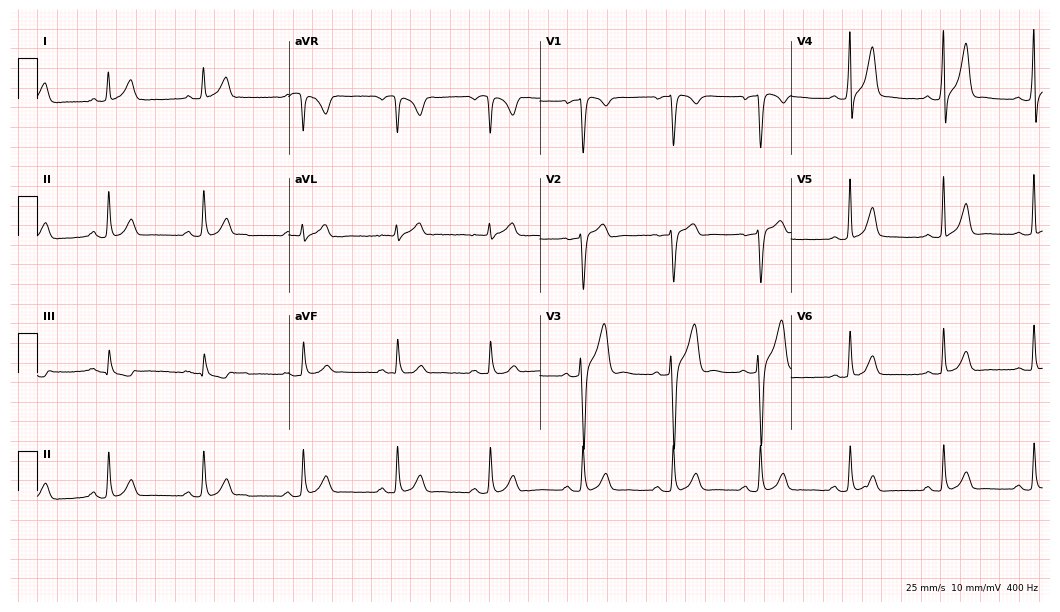
Electrocardiogram, a 29-year-old male. Overall reading on record: normal ECG.